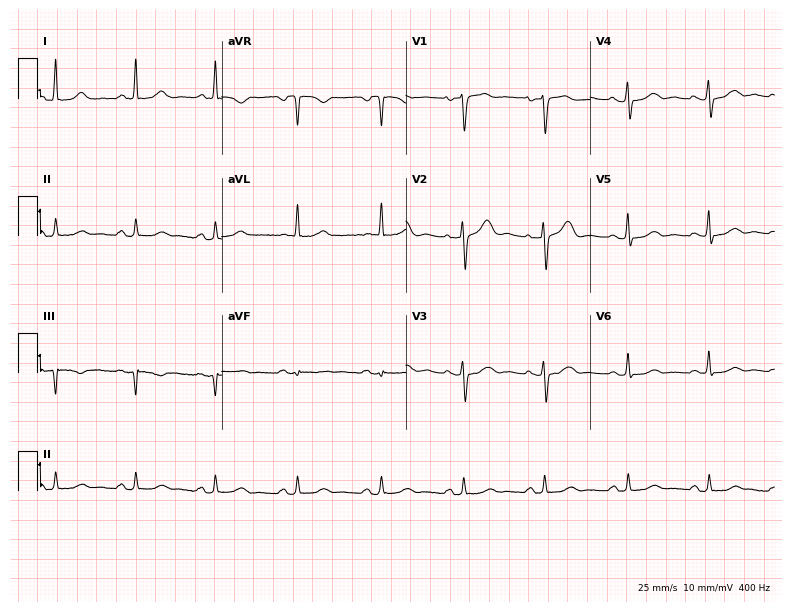
12-lead ECG (7.5-second recording at 400 Hz) from a female, 64 years old. Labelled as a normal ECG.